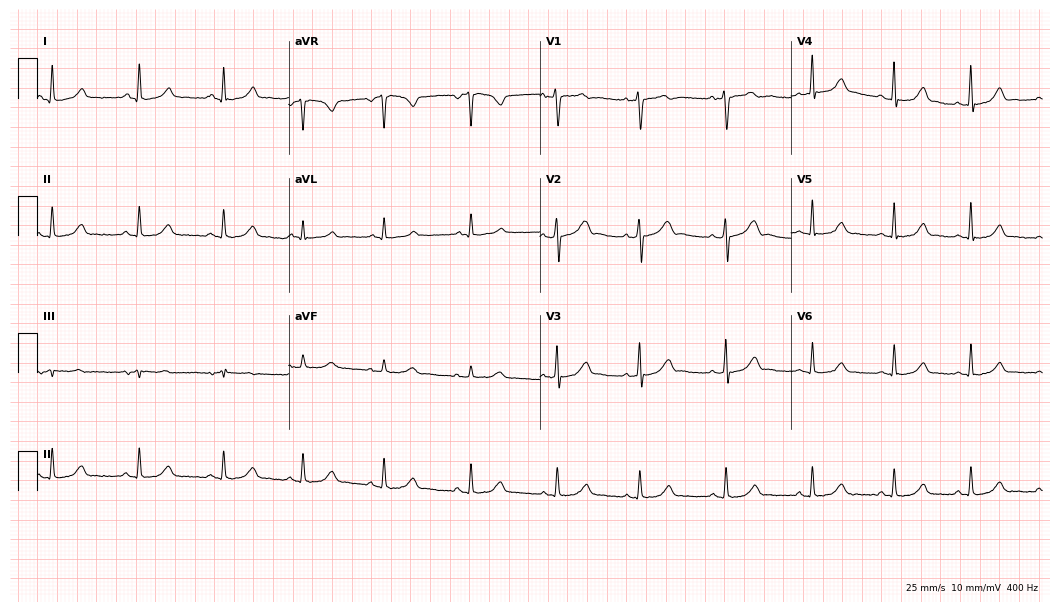
Electrocardiogram (10.2-second recording at 400 Hz), a 20-year-old female. Of the six screened findings (first-degree AV block, right bundle branch block, left bundle branch block, sinus bradycardia, atrial fibrillation, sinus tachycardia), none is recorded.